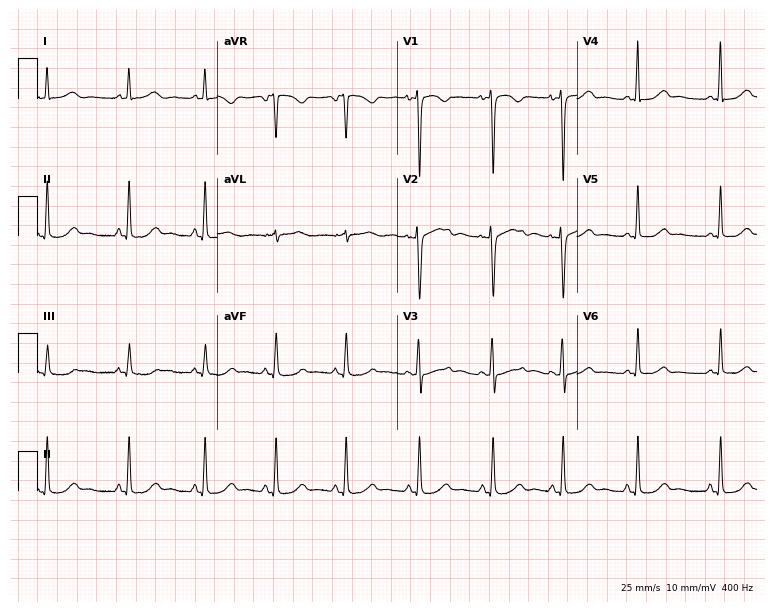
Resting 12-lead electrocardiogram (7.3-second recording at 400 Hz). Patient: a 20-year-old female. None of these six findings is recorded: first-degree AV block, right bundle branch block, left bundle branch block, sinus bradycardia, atrial fibrillation, sinus tachycardia.